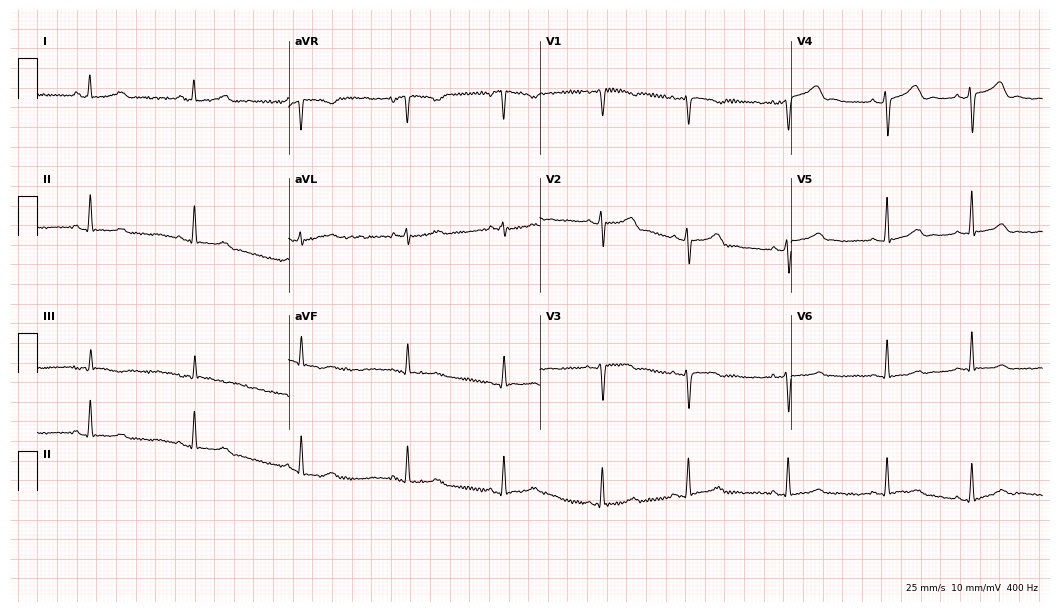
12-lead ECG from a 23-year-old woman (10.2-second recording at 400 Hz). No first-degree AV block, right bundle branch block (RBBB), left bundle branch block (LBBB), sinus bradycardia, atrial fibrillation (AF) or sinus tachycardia recorded for this tracing.